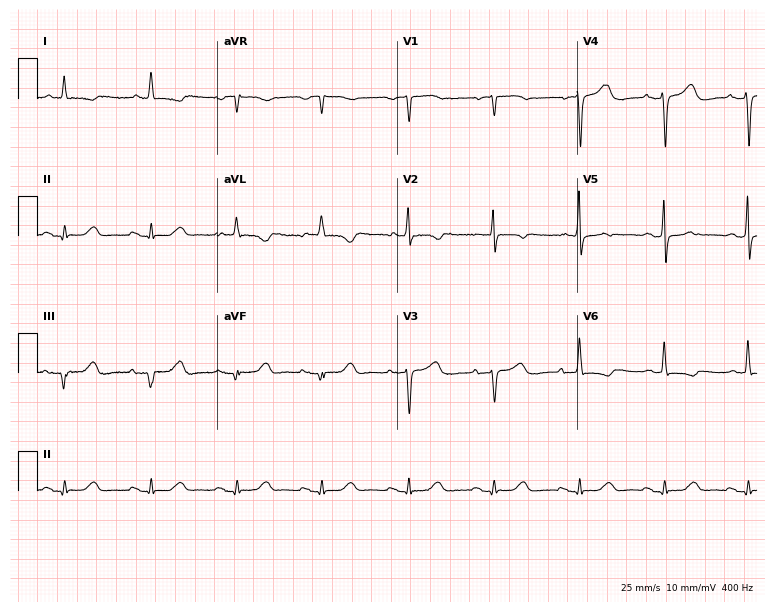
Resting 12-lead electrocardiogram. Patient: a woman, 85 years old. None of these six findings is recorded: first-degree AV block, right bundle branch block, left bundle branch block, sinus bradycardia, atrial fibrillation, sinus tachycardia.